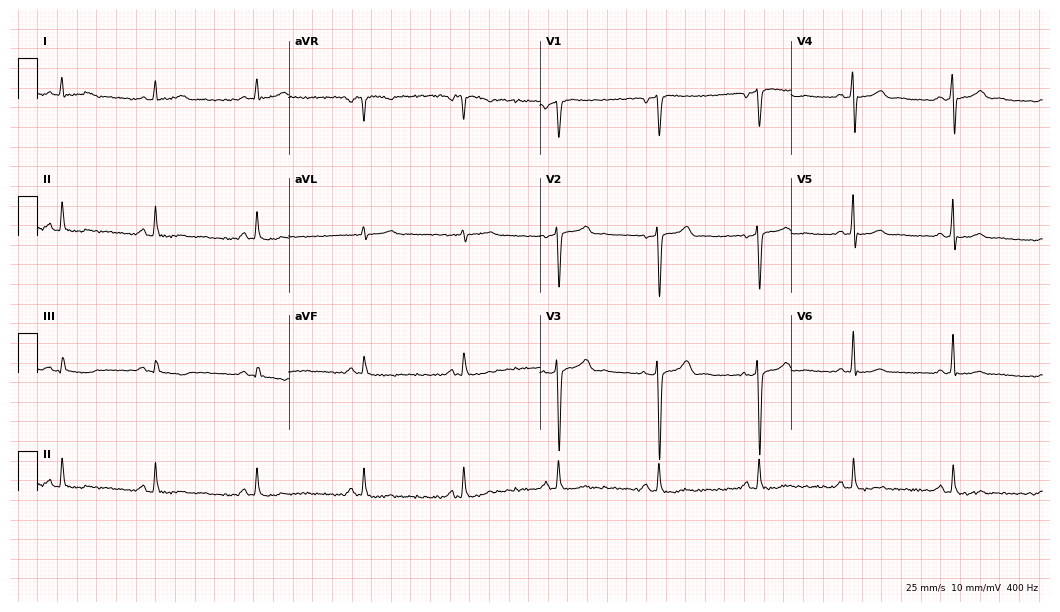
Resting 12-lead electrocardiogram (10.2-second recording at 400 Hz). Patient: a man, 53 years old. None of these six findings is recorded: first-degree AV block, right bundle branch block, left bundle branch block, sinus bradycardia, atrial fibrillation, sinus tachycardia. Only these six findings were labelled.